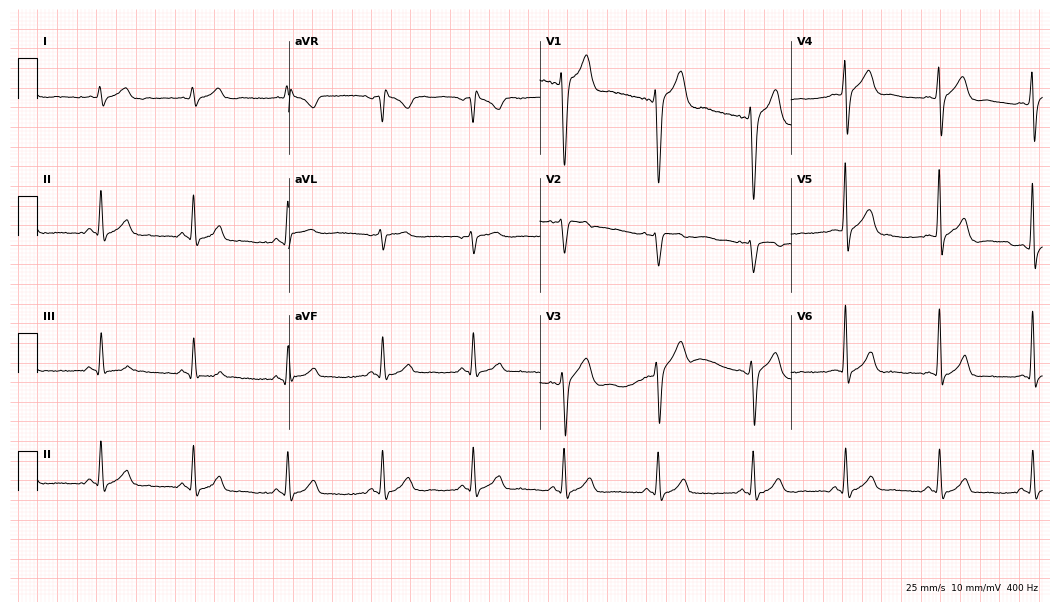
12-lead ECG (10.2-second recording at 400 Hz) from a male, 33 years old. Screened for six findings — first-degree AV block, right bundle branch block, left bundle branch block, sinus bradycardia, atrial fibrillation, sinus tachycardia — none is recorded.